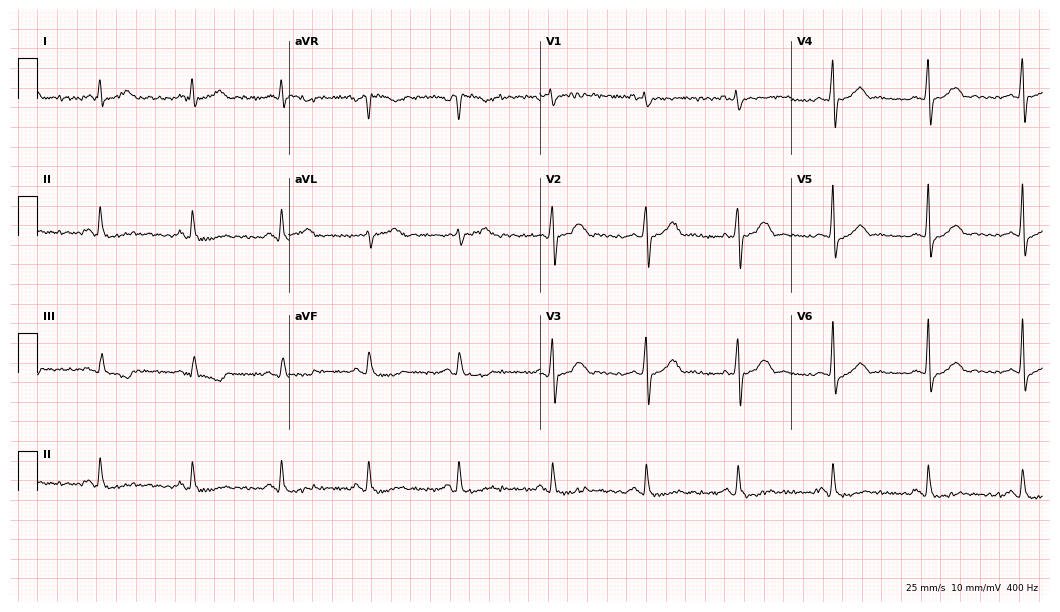
12-lead ECG from a 42-year-old male patient. Screened for six findings — first-degree AV block, right bundle branch block, left bundle branch block, sinus bradycardia, atrial fibrillation, sinus tachycardia — none is recorded.